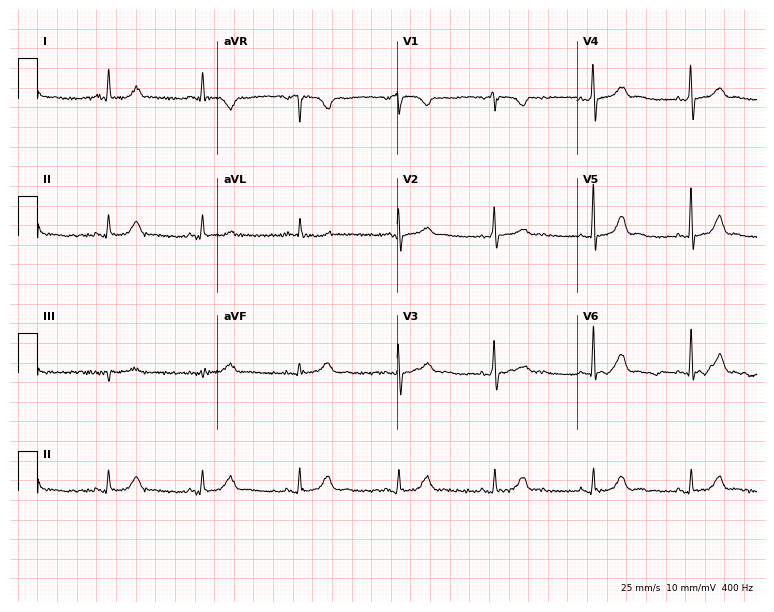
ECG (7.3-second recording at 400 Hz) — a woman, 60 years old. Labelled as a normal ECG.